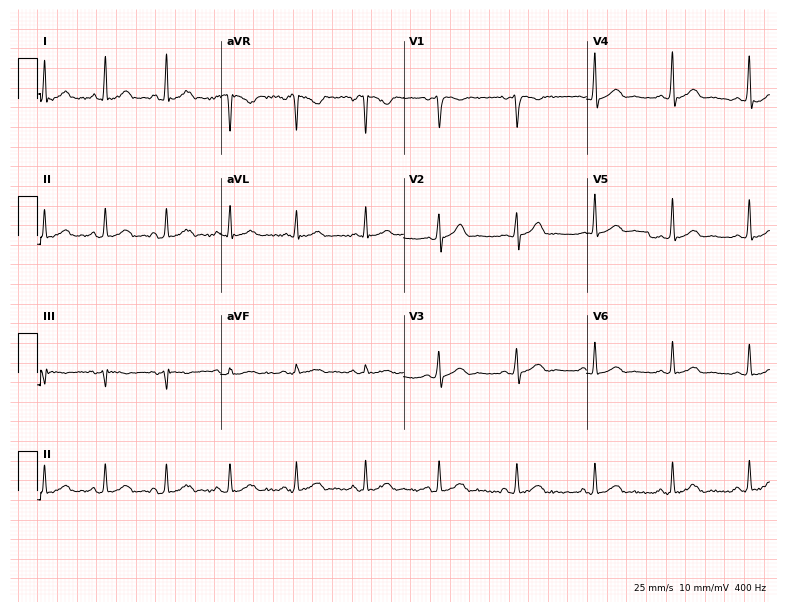
12-lead ECG from a 36-year-old man (7.5-second recording at 400 Hz). Recorded interpretation: within normal limits.